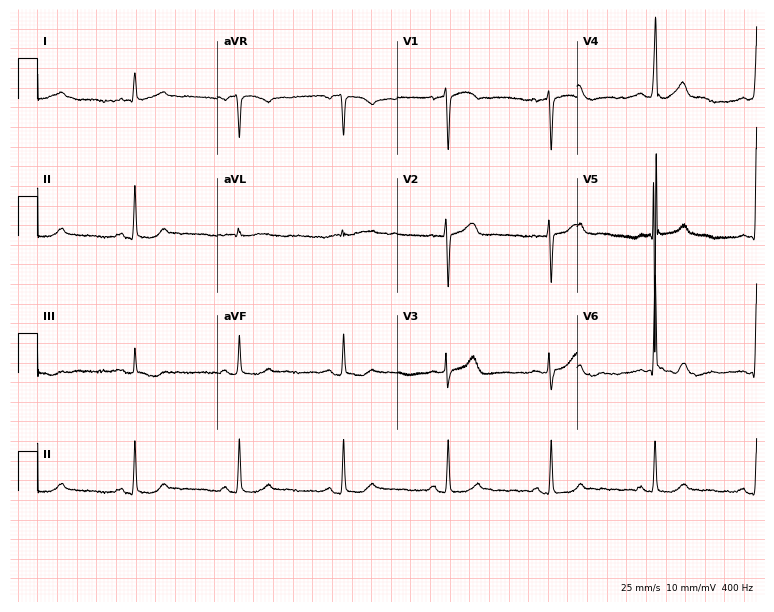
Resting 12-lead electrocardiogram. Patient: a 52-year-old woman. None of these six findings is recorded: first-degree AV block, right bundle branch block, left bundle branch block, sinus bradycardia, atrial fibrillation, sinus tachycardia. Findings outside these six are not listed.